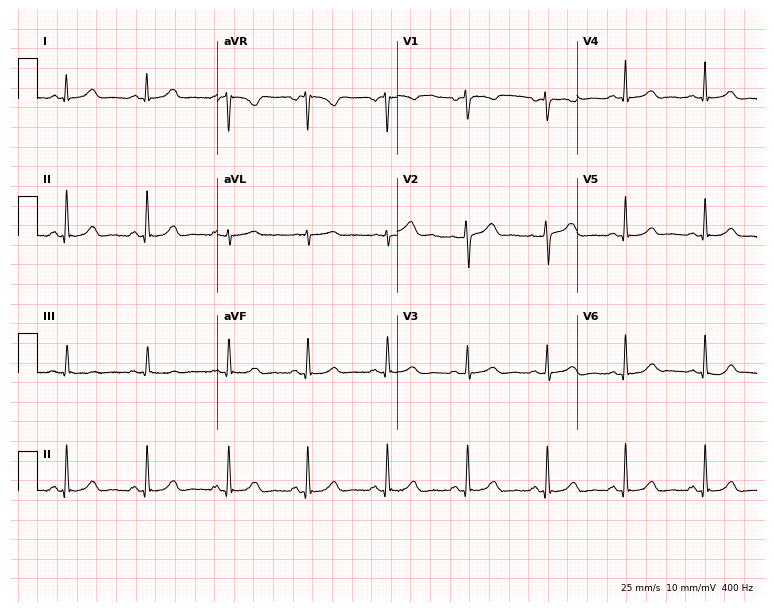
Electrocardiogram (7.3-second recording at 400 Hz), a female patient, 54 years old. Of the six screened findings (first-degree AV block, right bundle branch block (RBBB), left bundle branch block (LBBB), sinus bradycardia, atrial fibrillation (AF), sinus tachycardia), none is recorded. Findings outside these six are not listed.